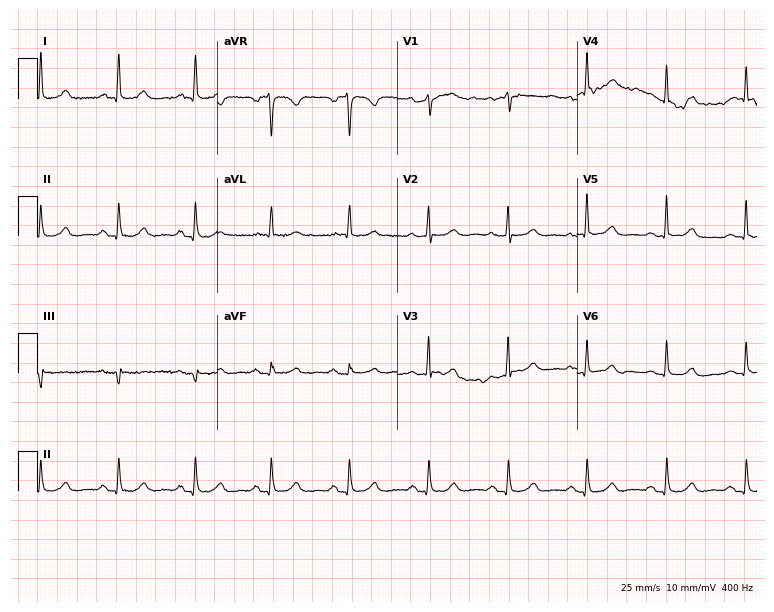
Electrocardiogram (7.3-second recording at 400 Hz), a 72-year-old female. Overall reading on record: normal ECG.